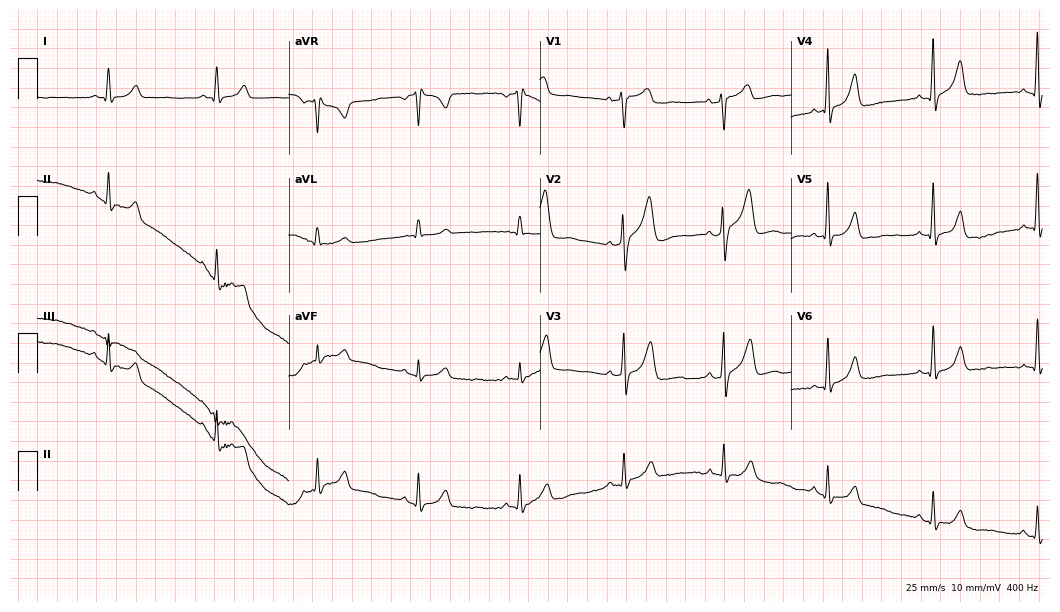
12-lead ECG from a male, 46 years old. Labelled as a normal ECG.